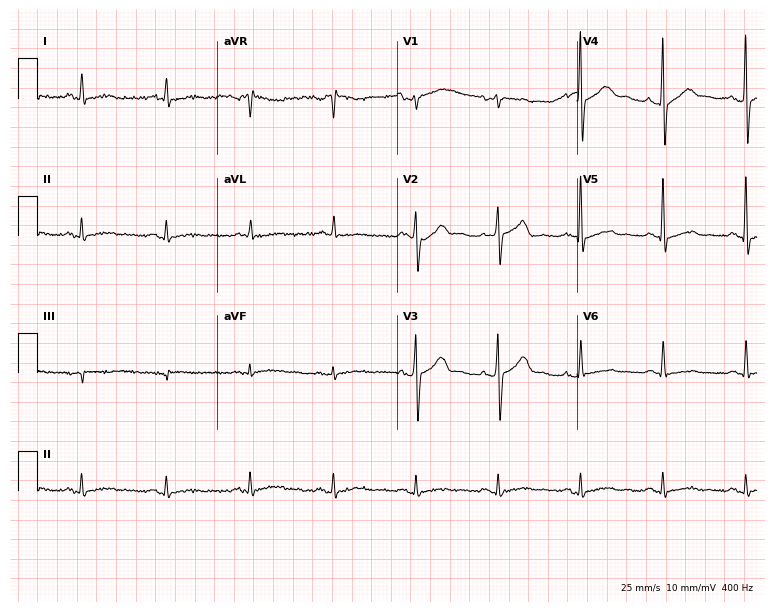
ECG — a male, 59 years old. Labelled as a normal ECG.